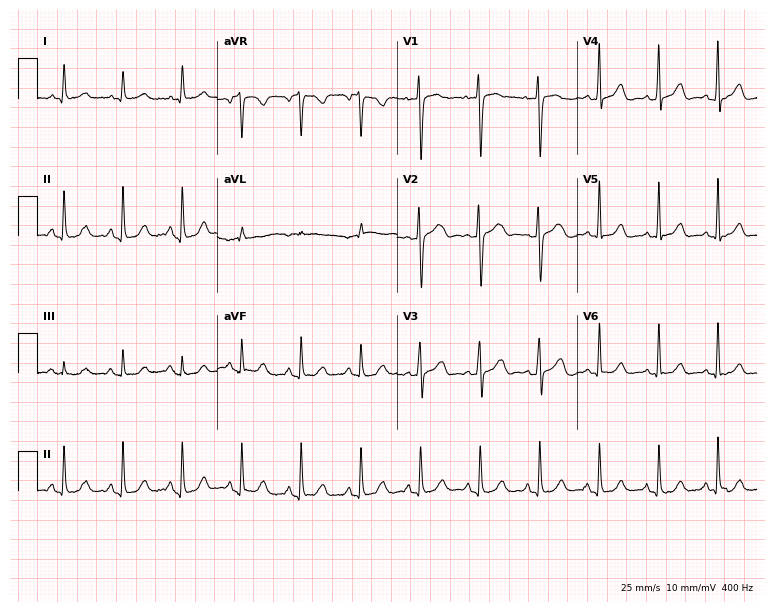
ECG — a woman, 44 years old. Screened for six findings — first-degree AV block, right bundle branch block, left bundle branch block, sinus bradycardia, atrial fibrillation, sinus tachycardia — none is recorded.